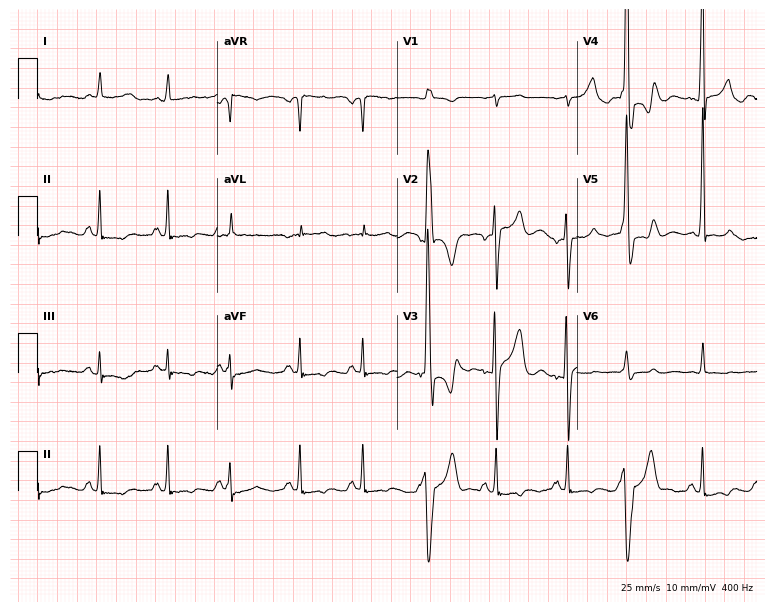
12-lead ECG from a 57-year-old male (7.3-second recording at 400 Hz). No first-degree AV block, right bundle branch block, left bundle branch block, sinus bradycardia, atrial fibrillation or sinus tachycardia recorded for this tracing.